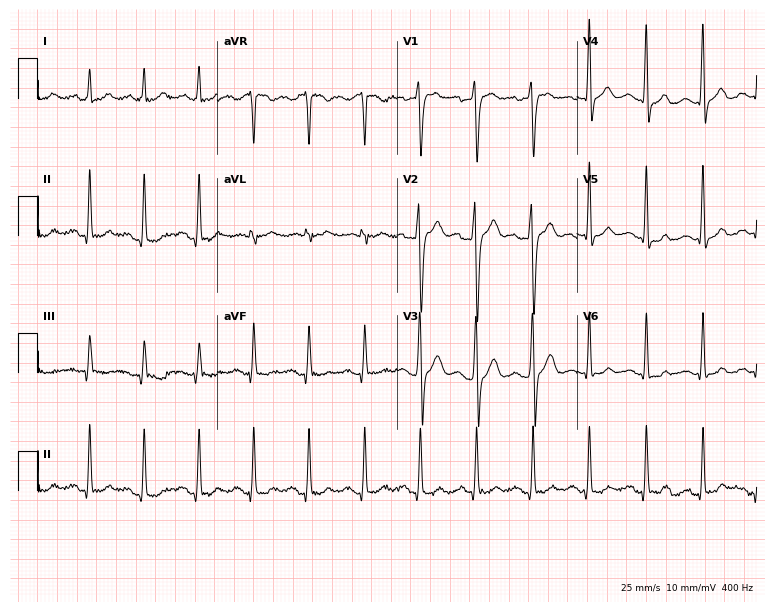
ECG — a 23-year-old man. Findings include sinus tachycardia (a sinus rate of 100 beats per minute or more).